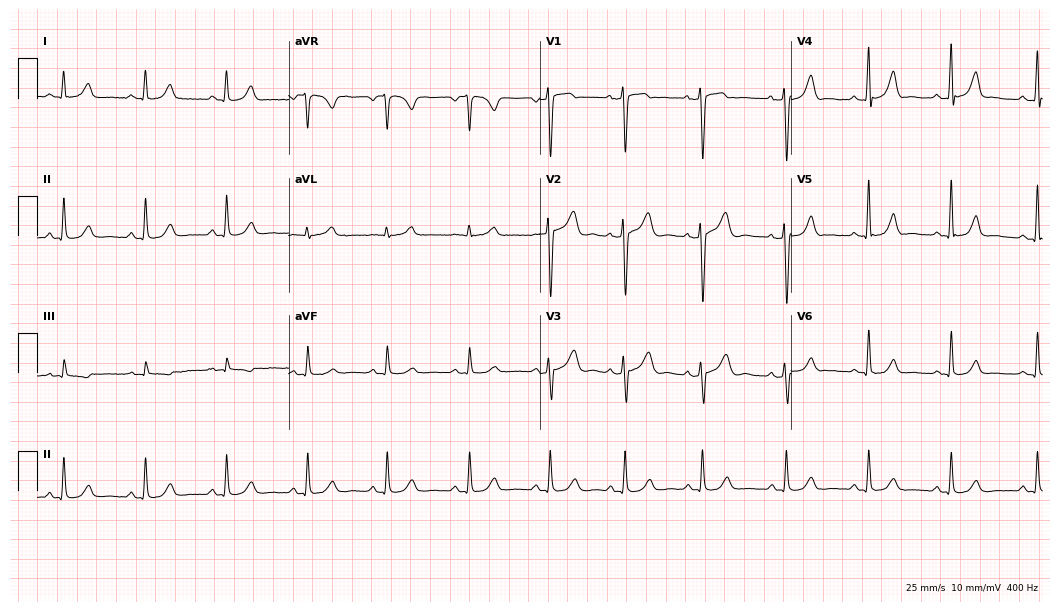
ECG — a male, 54 years old. Labelled as a normal ECG.